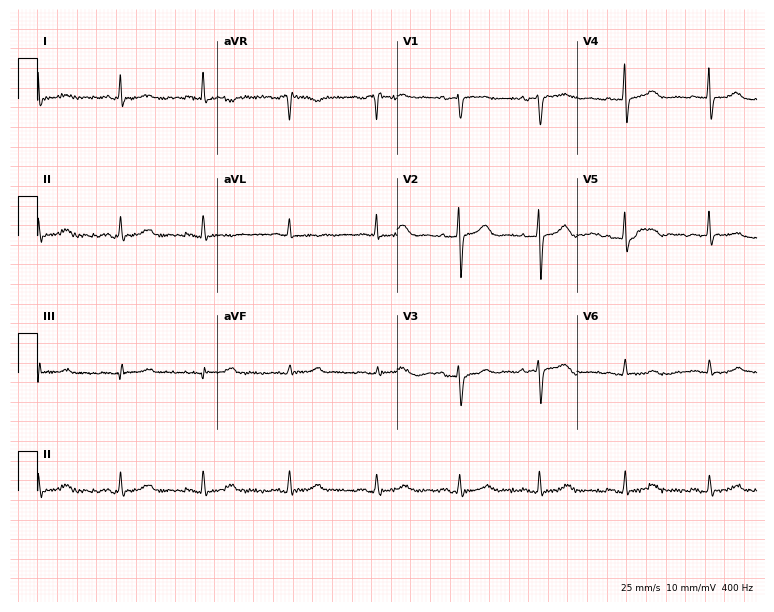
ECG — a 70-year-old woman. Labelled as a normal ECG.